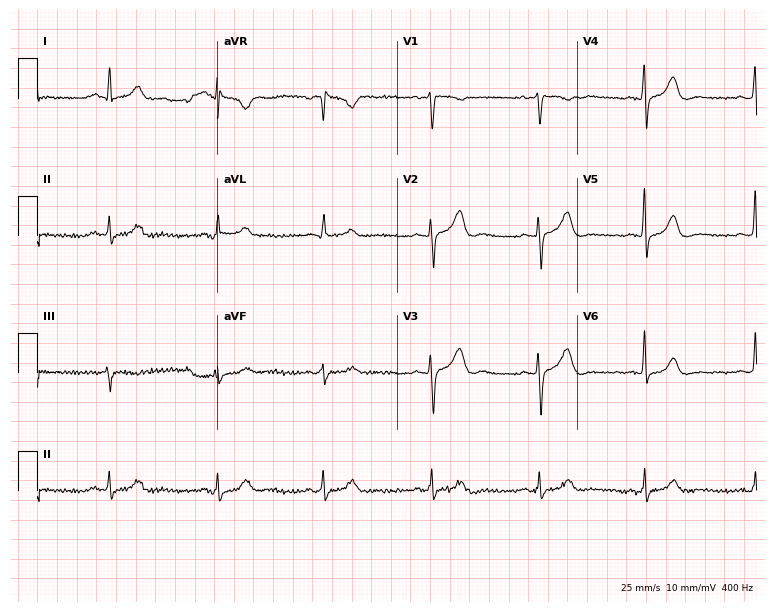
Electrocardiogram, a man, 61 years old. Overall reading on record: normal ECG.